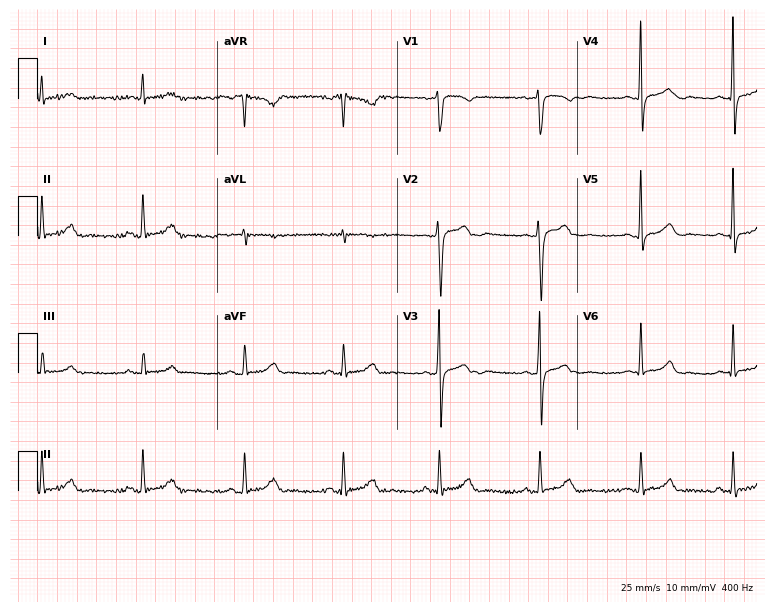
Standard 12-lead ECG recorded from a female patient, 47 years old (7.3-second recording at 400 Hz). Read as a normal ECG.